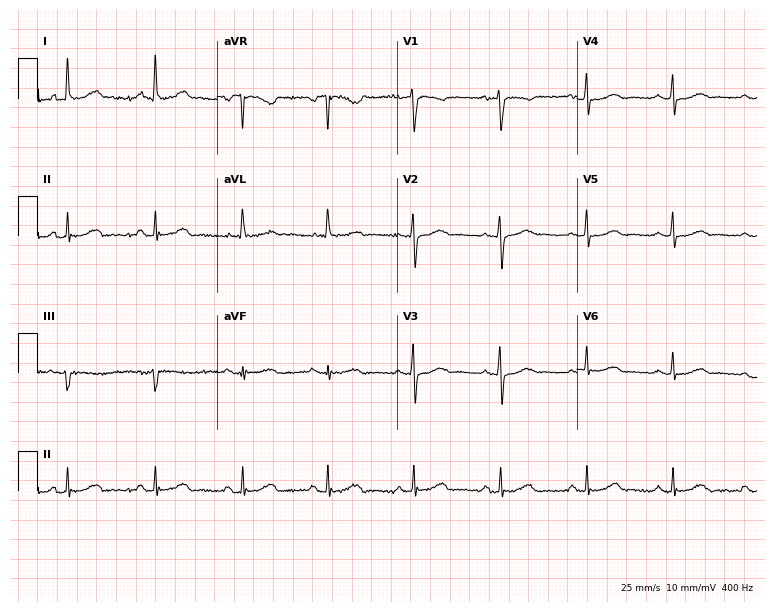
ECG (7.3-second recording at 400 Hz) — a female, 65 years old. Labelled as a normal ECG.